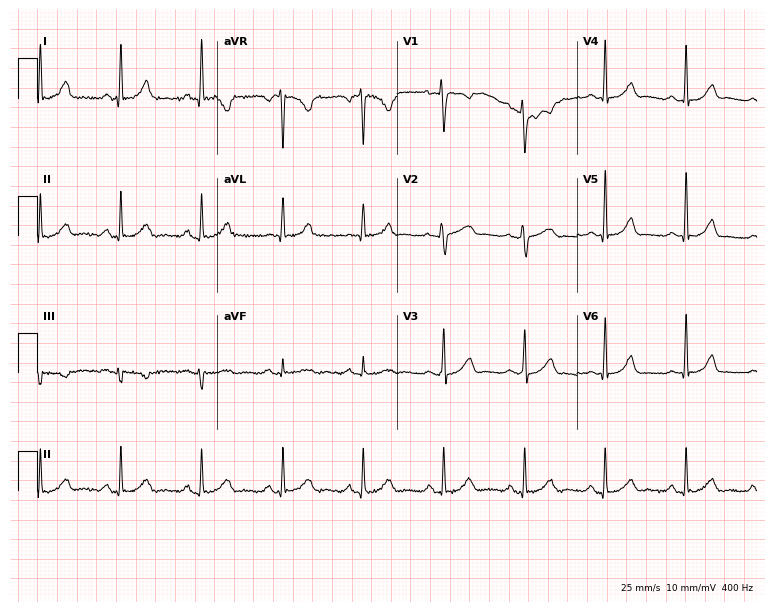
Resting 12-lead electrocardiogram (7.3-second recording at 400 Hz). Patient: a 51-year-old woman. Read as a normal ECG.